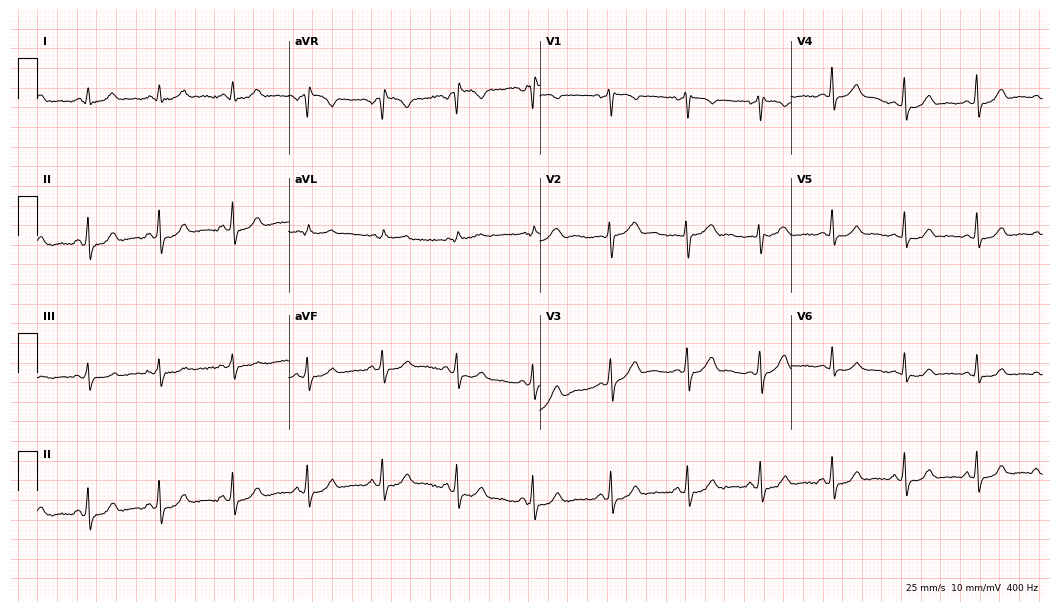
Standard 12-lead ECG recorded from a 25-year-old female patient (10.2-second recording at 400 Hz). Read as a normal ECG.